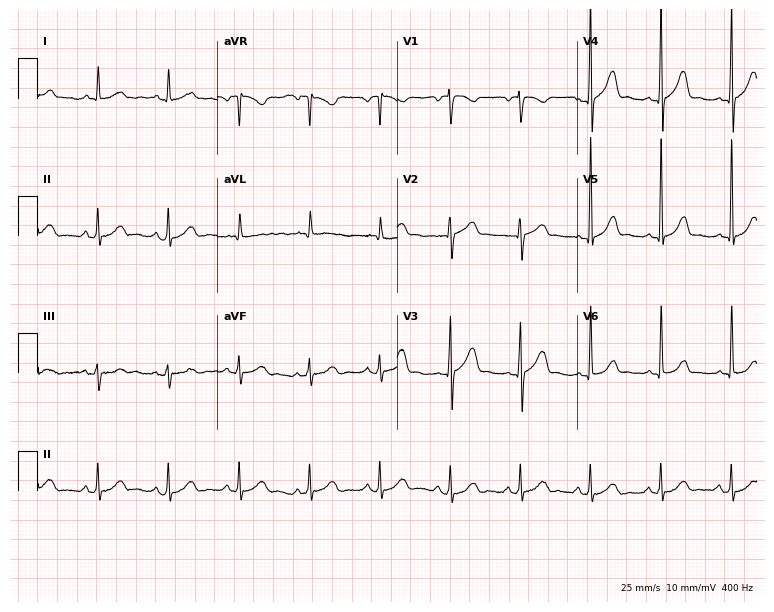
Resting 12-lead electrocardiogram (7.3-second recording at 400 Hz). Patient: a 78-year-old man. None of these six findings is recorded: first-degree AV block, right bundle branch block, left bundle branch block, sinus bradycardia, atrial fibrillation, sinus tachycardia.